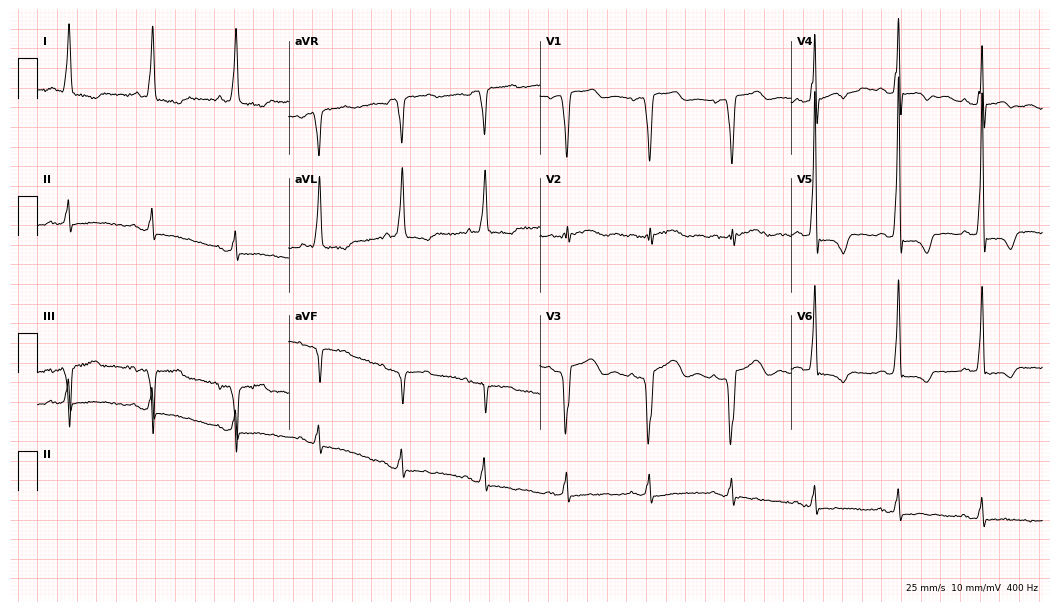
Standard 12-lead ECG recorded from a 77-year-old female patient. None of these six findings is recorded: first-degree AV block, right bundle branch block (RBBB), left bundle branch block (LBBB), sinus bradycardia, atrial fibrillation (AF), sinus tachycardia. Only these six findings were labelled.